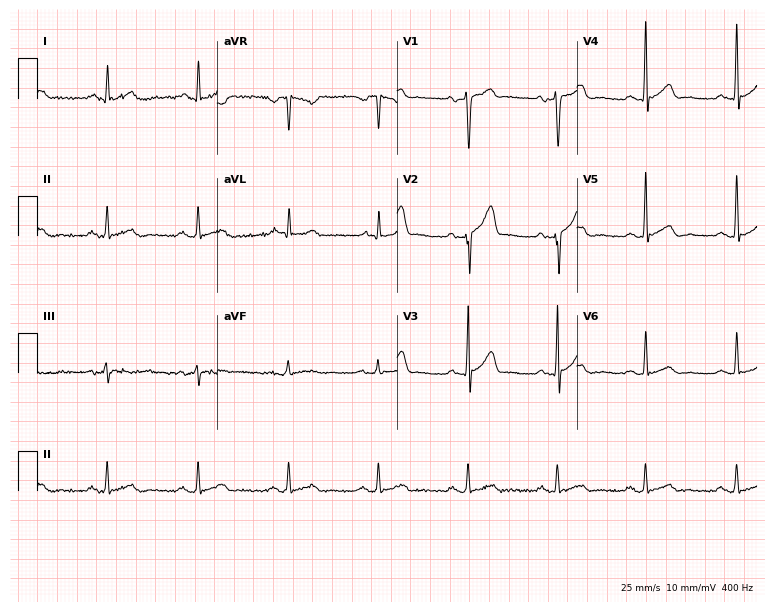
12-lead ECG from a 40-year-old man. Labelled as a normal ECG.